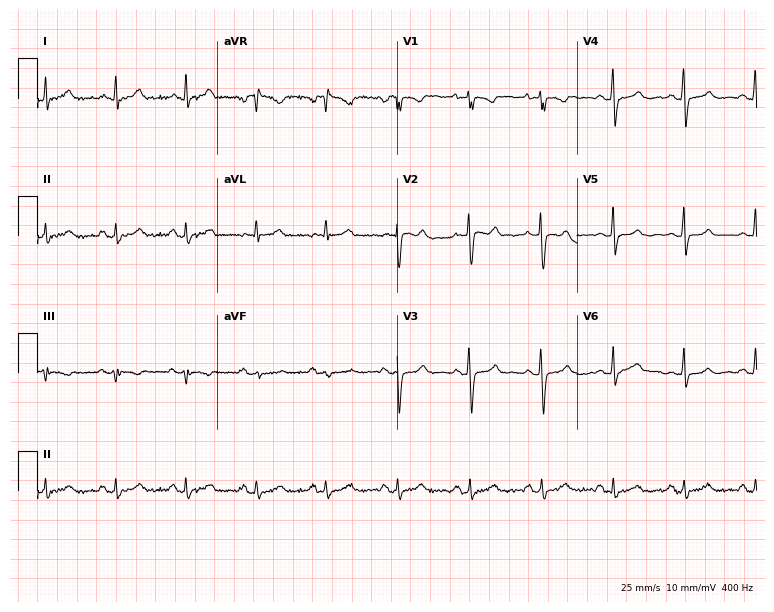
Electrocardiogram, a female patient, 34 years old. Overall reading on record: normal ECG.